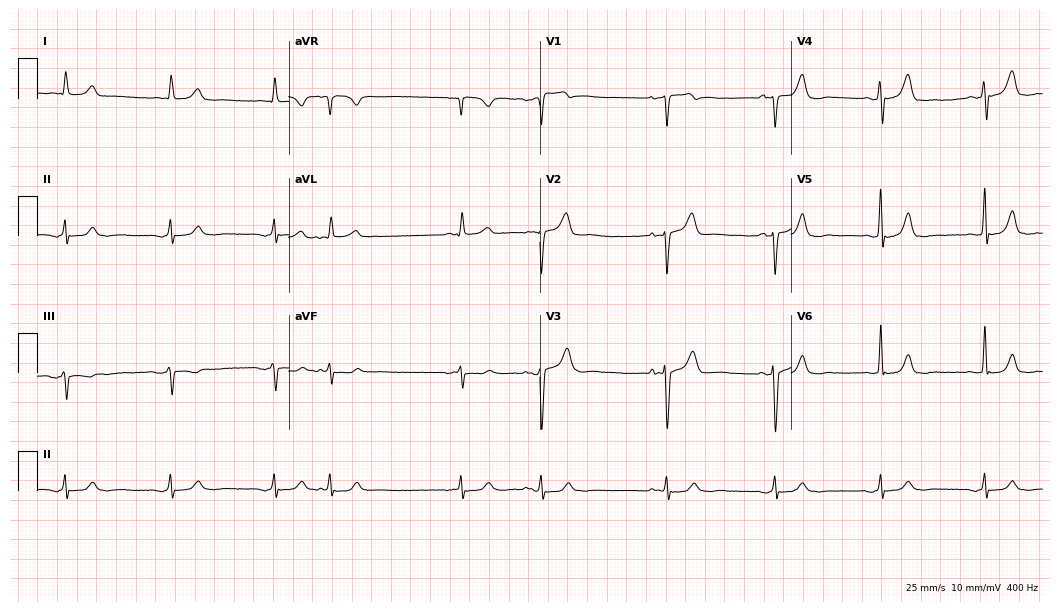
12-lead ECG from a 70-year-old male patient. No first-degree AV block, right bundle branch block (RBBB), left bundle branch block (LBBB), sinus bradycardia, atrial fibrillation (AF) or sinus tachycardia recorded for this tracing.